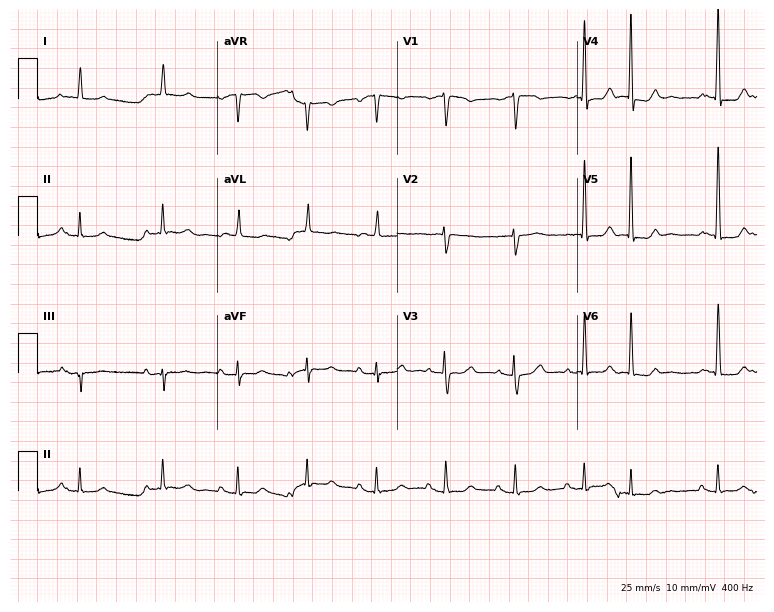
Electrocardiogram (7.3-second recording at 400 Hz), a 77-year-old woman. Of the six screened findings (first-degree AV block, right bundle branch block (RBBB), left bundle branch block (LBBB), sinus bradycardia, atrial fibrillation (AF), sinus tachycardia), none is recorded.